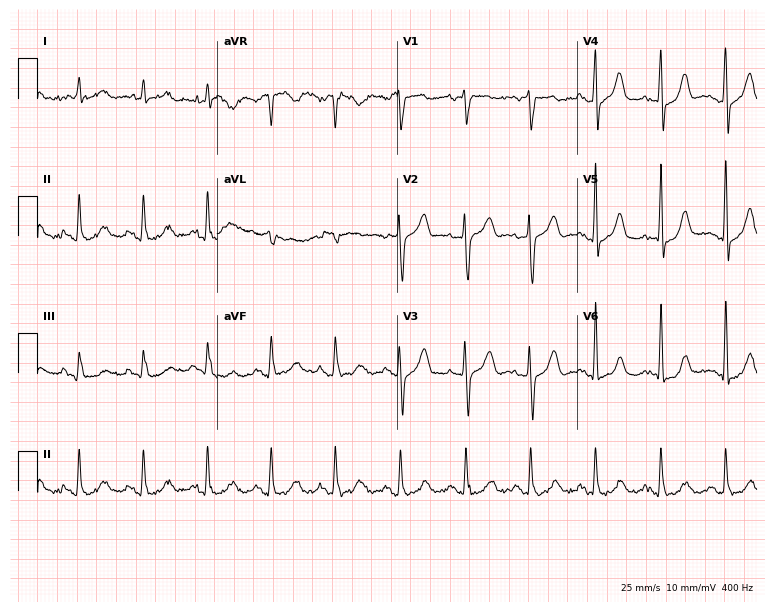
12-lead ECG from a male, 64 years old. Screened for six findings — first-degree AV block, right bundle branch block, left bundle branch block, sinus bradycardia, atrial fibrillation, sinus tachycardia — none is recorded.